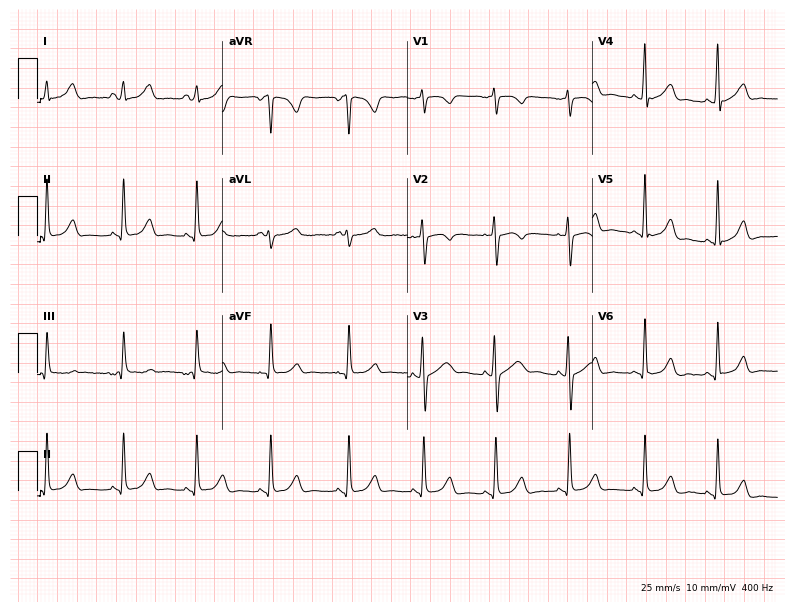
Standard 12-lead ECG recorded from a female, 24 years old (7.5-second recording at 400 Hz). None of these six findings is recorded: first-degree AV block, right bundle branch block, left bundle branch block, sinus bradycardia, atrial fibrillation, sinus tachycardia. Only these six findings were labelled.